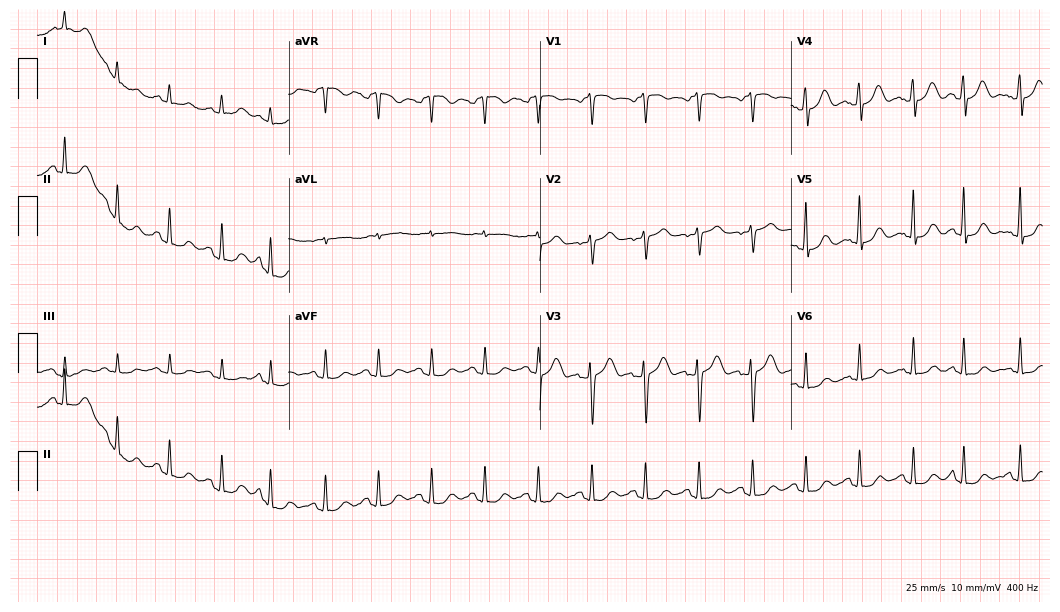
Standard 12-lead ECG recorded from a woman, 67 years old (10.2-second recording at 400 Hz). The tracing shows sinus tachycardia (a sinus rate of 100 beats per minute or more).